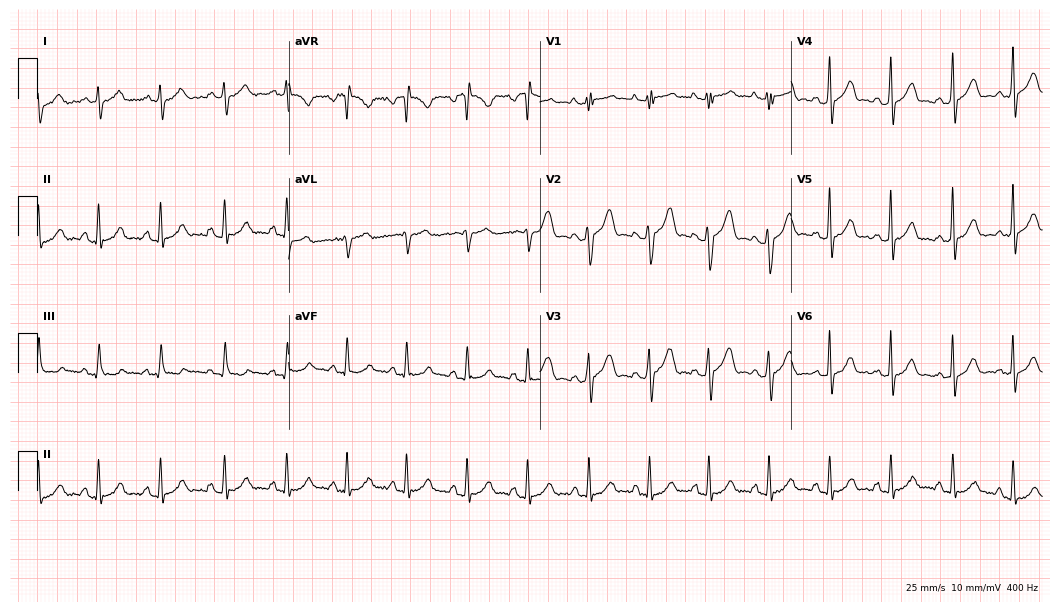
12-lead ECG from a man, 31 years old (10.2-second recording at 400 Hz). No first-degree AV block, right bundle branch block (RBBB), left bundle branch block (LBBB), sinus bradycardia, atrial fibrillation (AF) or sinus tachycardia recorded for this tracing.